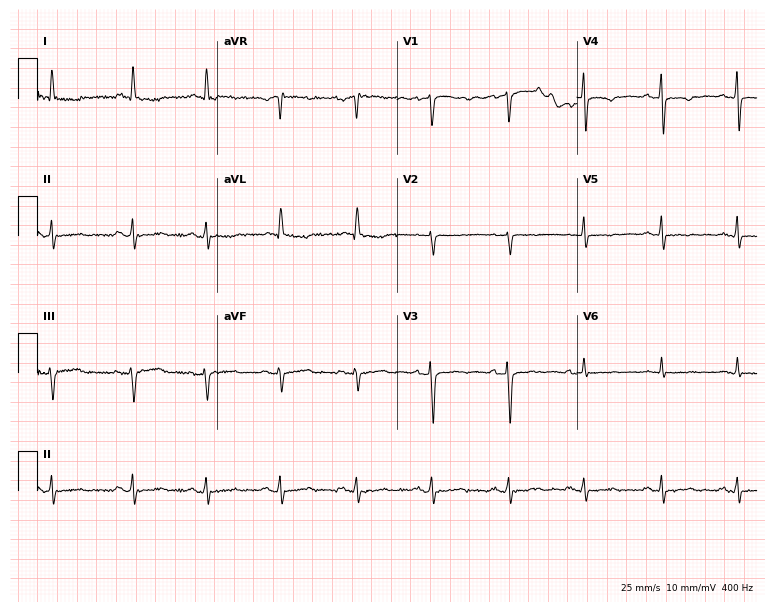
ECG — a male patient, 71 years old. Screened for six findings — first-degree AV block, right bundle branch block (RBBB), left bundle branch block (LBBB), sinus bradycardia, atrial fibrillation (AF), sinus tachycardia — none is recorded. Other findings, if any, are not listed.